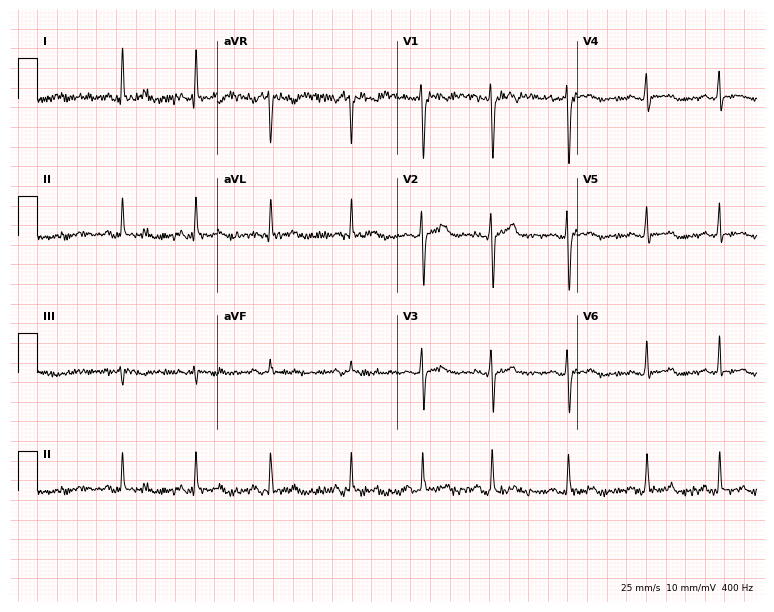
Electrocardiogram (7.3-second recording at 400 Hz), a woman, 23 years old. Of the six screened findings (first-degree AV block, right bundle branch block, left bundle branch block, sinus bradycardia, atrial fibrillation, sinus tachycardia), none is recorded. Findings outside these six are not listed.